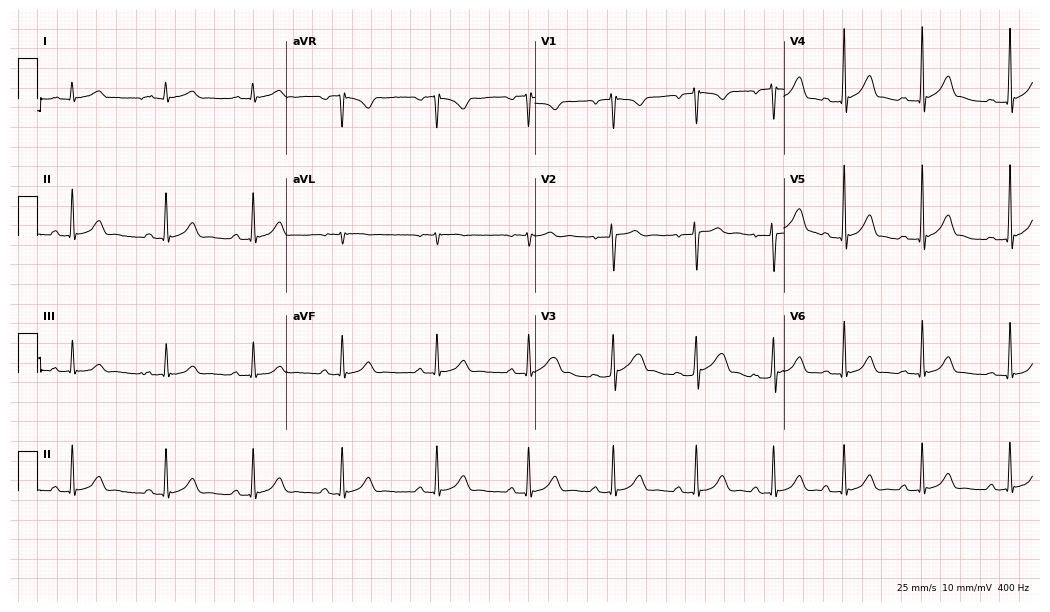
12-lead ECG (10.1-second recording at 400 Hz) from an 18-year-old male. Labelled as a normal ECG.